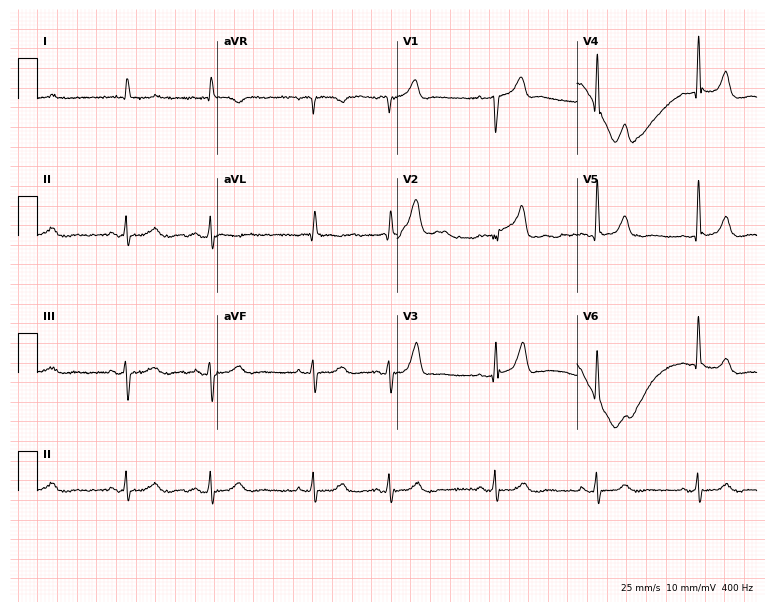
12-lead ECG from a male patient, 85 years old. No first-degree AV block, right bundle branch block, left bundle branch block, sinus bradycardia, atrial fibrillation or sinus tachycardia recorded for this tracing. Other findings, if any, are not listed.